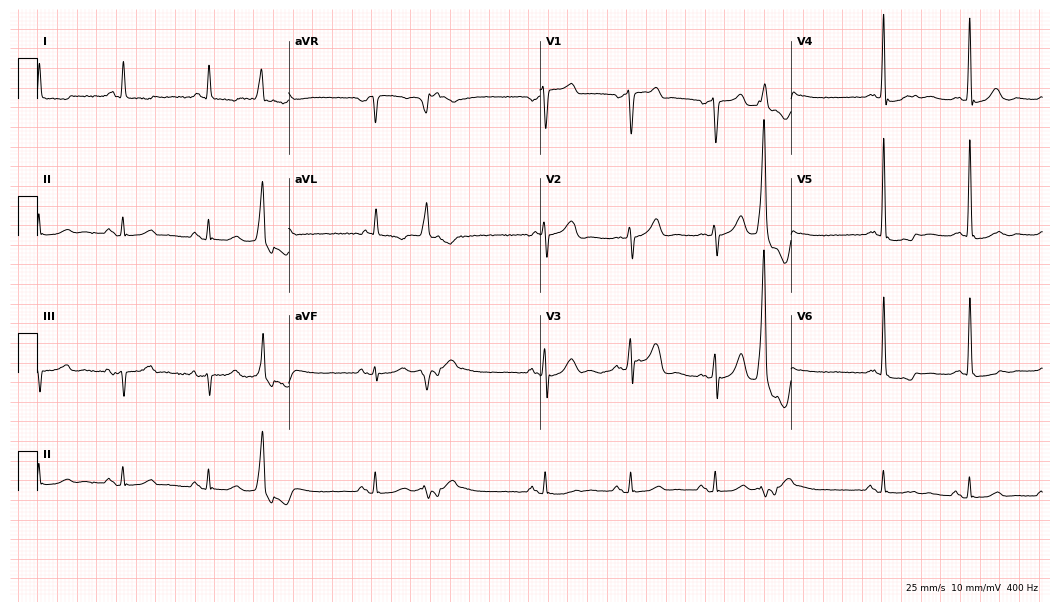
Electrocardiogram (10.2-second recording at 400 Hz), a 77-year-old male. Of the six screened findings (first-degree AV block, right bundle branch block, left bundle branch block, sinus bradycardia, atrial fibrillation, sinus tachycardia), none is recorded.